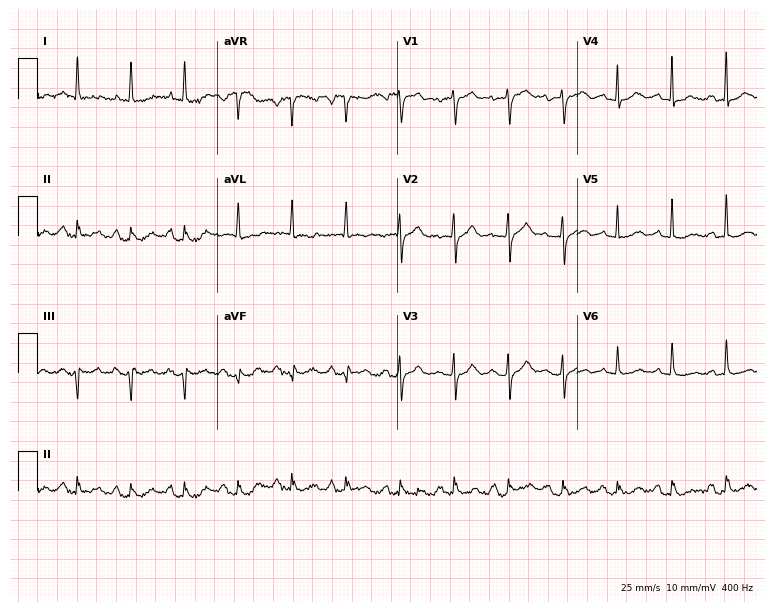
Resting 12-lead electrocardiogram. Patient: a 76-year-old woman. The tracing shows sinus tachycardia (a sinus rate of 100 beats per minute or more).